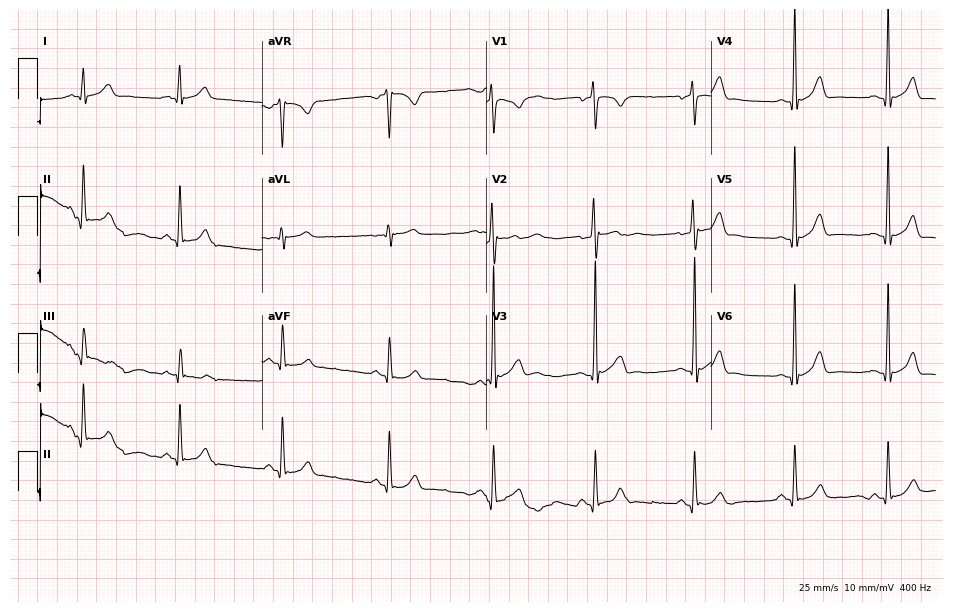
Electrocardiogram, a man, 25 years old. Overall reading on record: normal ECG.